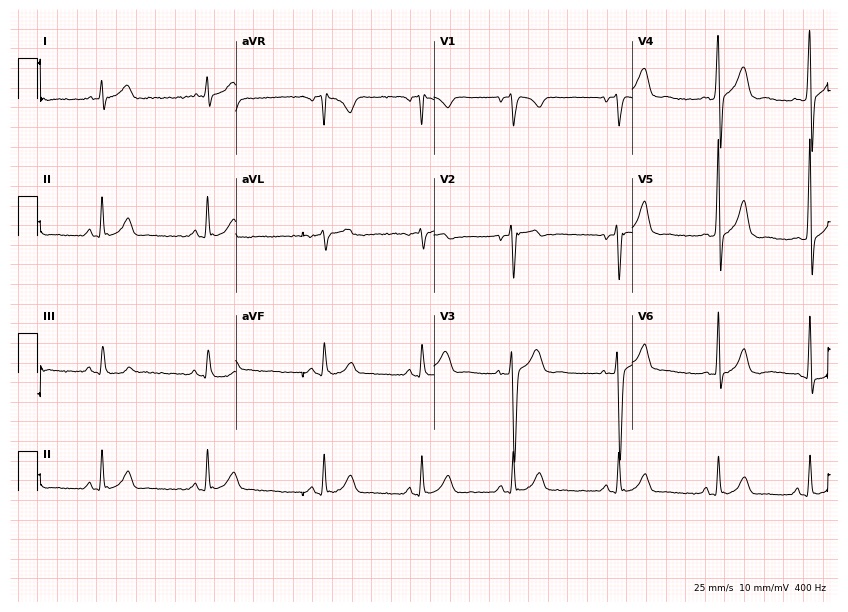
Electrocardiogram (8.1-second recording at 400 Hz), a man, 22 years old. Of the six screened findings (first-degree AV block, right bundle branch block (RBBB), left bundle branch block (LBBB), sinus bradycardia, atrial fibrillation (AF), sinus tachycardia), none is recorded.